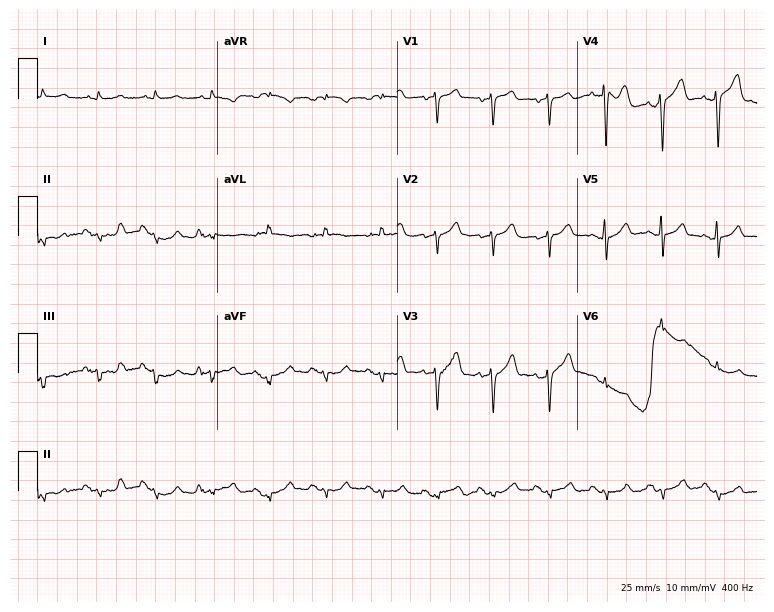
Electrocardiogram, a male, 66 years old. Interpretation includes sinus tachycardia (a sinus rate of 100 beats per minute or more).